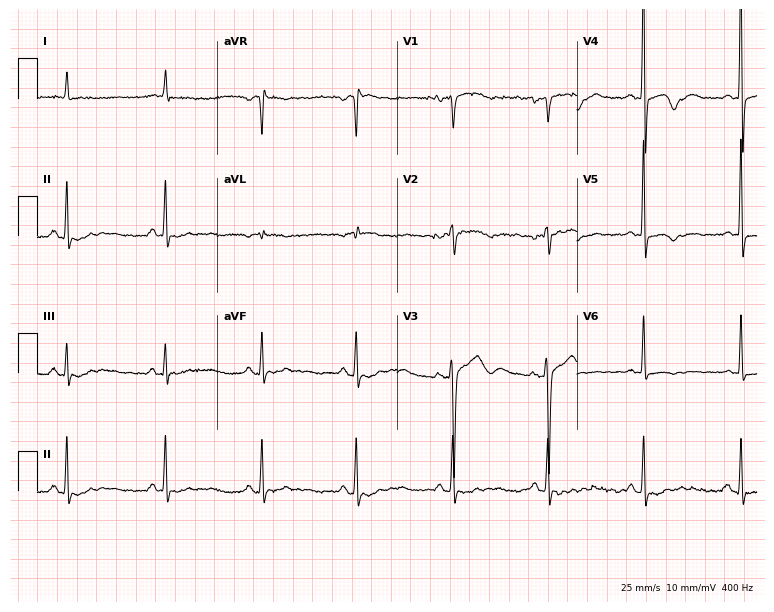
Electrocardiogram, a 79-year-old female. Of the six screened findings (first-degree AV block, right bundle branch block, left bundle branch block, sinus bradycardia, atrial fibrillation, sinus tachycardia), none is recorded.